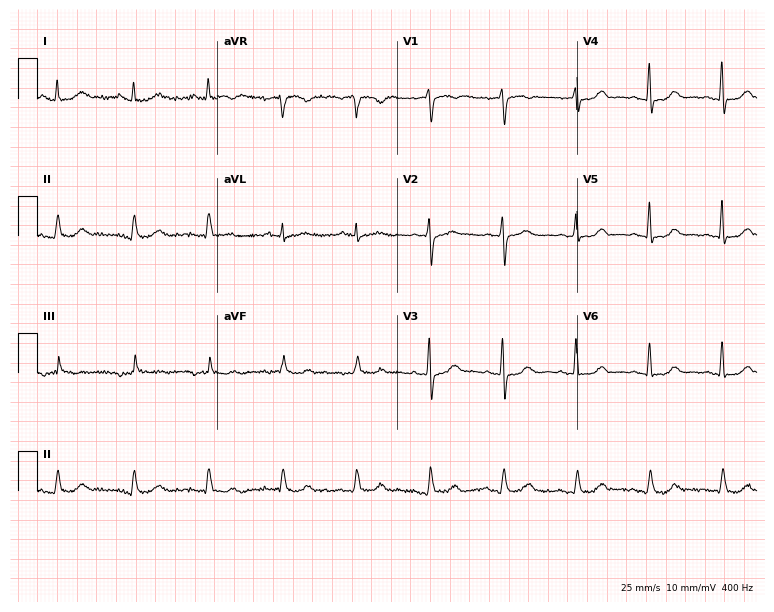
12-lead ECG from a female patient, 71 years old (7.3-second recording at 400 Hz). Recorded interpretation: within normal limits.